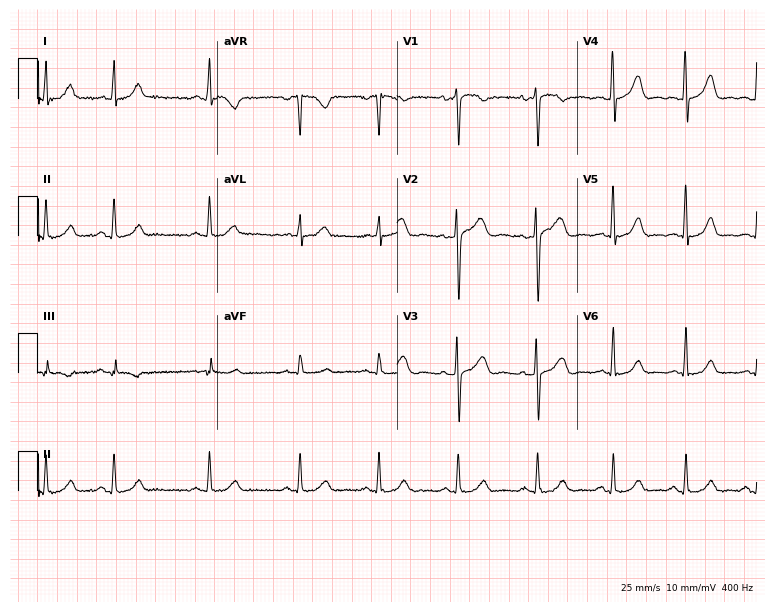
Resting 12-lead electrocardiogram (7.3-second recording at 400 Hz). Patient: a female, 36 years old. Read as a normal ECG.